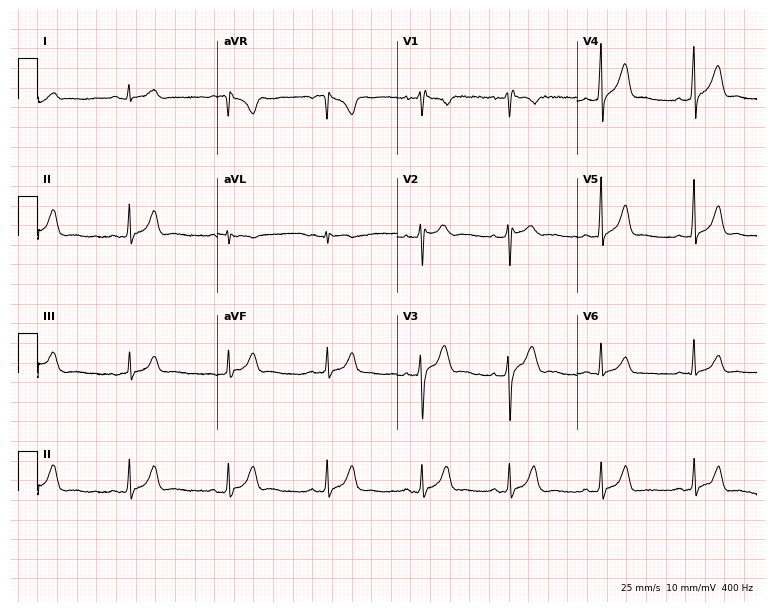
ECG (7.3-second recording at 400 Hz) — a 25-year-old man. Screened for six findings — first-degree AV block, right bundle branch block, left bundle branch block, sinus bradycardia, atrial fibrillation, sinus tachycardia — none is recorded.